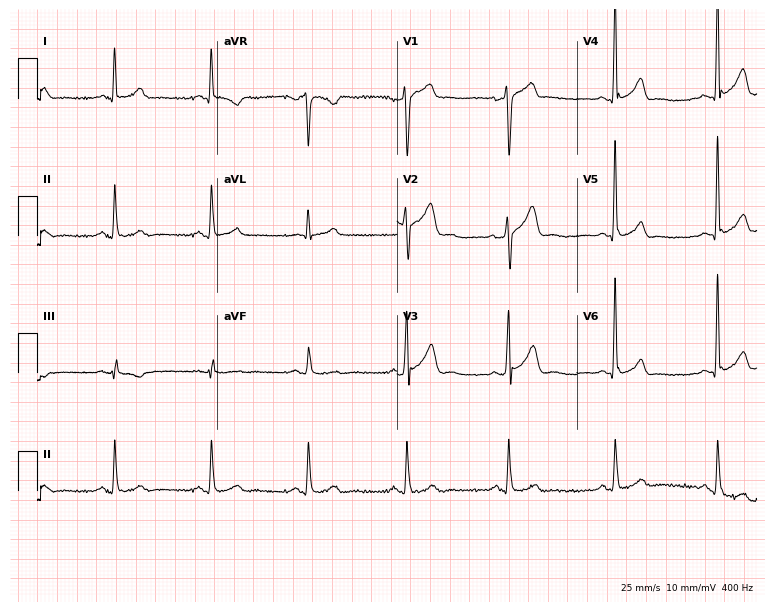
Resting 12-lead electrocardiogram. Patient: a man, 29 years old. None of these six findings is recorded: first-degree AV block, right bundle branch block, left bundle branch block, sinus bradycardia, atrial fibrillation, sinus tachycardia. Other findings, if any, are not listed.